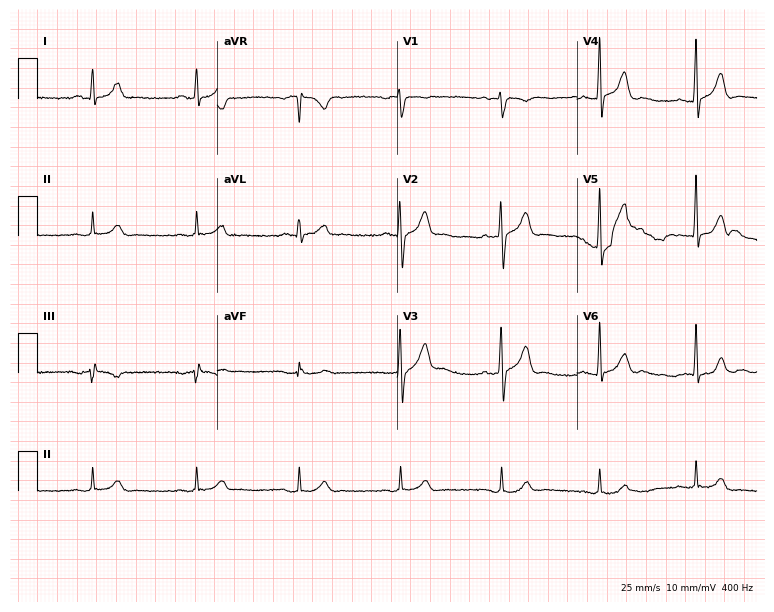
12-lead ECG (7.3-second recording at 400 Hz) from a male, 54 years old. Screened for six findings — first-degree AV block, right bundle branch block, left bundle branch block, sinus bradycardia, atrial fibrillation, sinus tachycardia — none is recorded. Only these six findings were labelled.